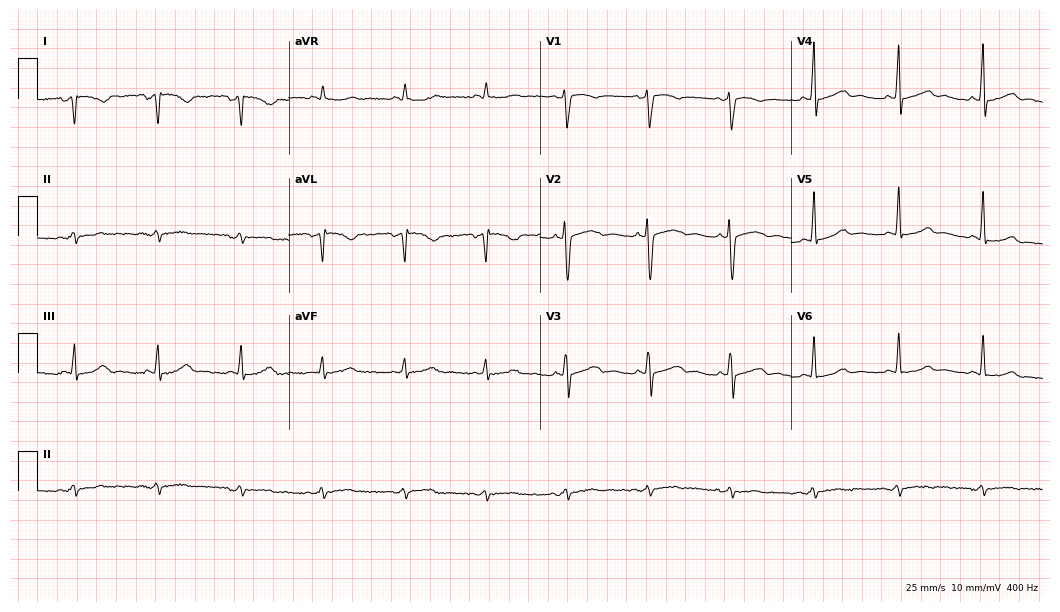
Electrocardiogram (10.2-second recording at 400 Hz), a female, 36 years old. Of the six screened findings (first-degree AV block, right bundle branch block, left bundle branch block, sinus bradycardia, atrial fibrillation, sinus tachycardia), none is recorded.